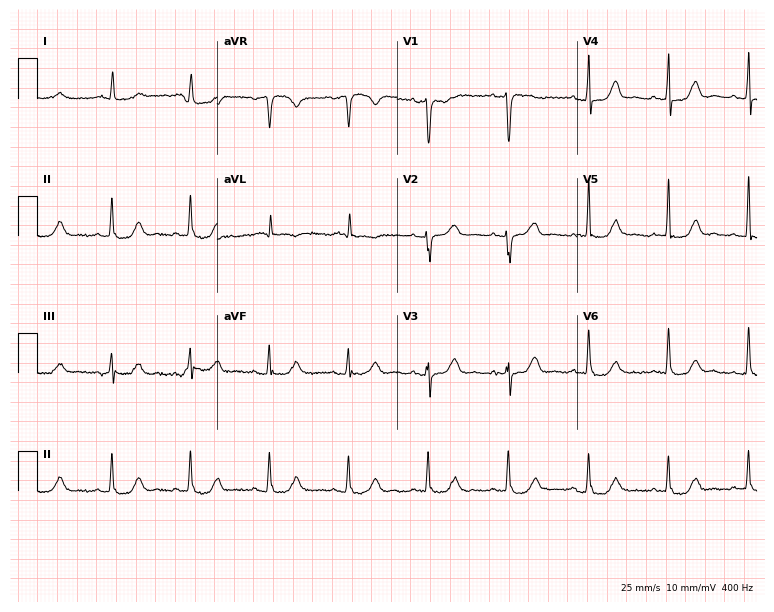
12-lead ECG (7.3-second recording at 400 Hz) from a female patient, 84 years old. Labelled as a normal ECG.